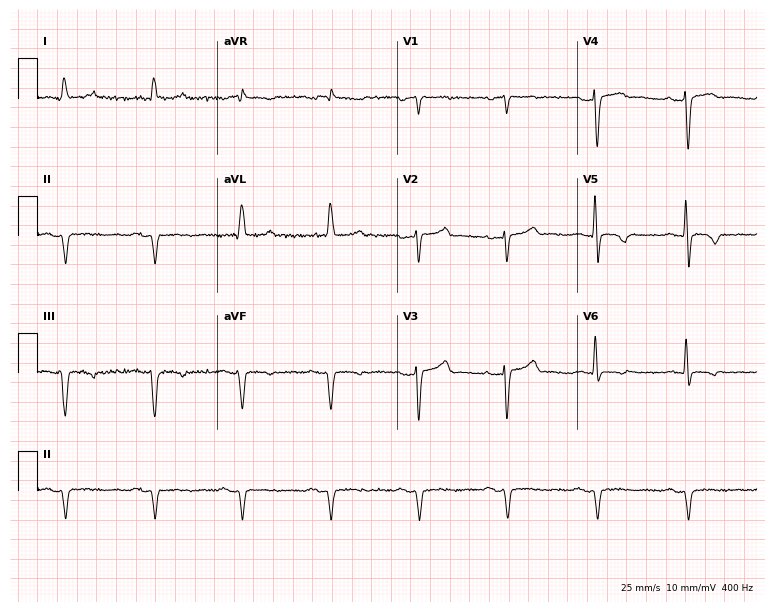
ECG (7.3-second recording at 400 Hz) — a 75-year-old male. Screened for six findings — first-degree AV block, right bundle branch block, left bundle branch block, sinus bradycardia, atrial fibrillation, sinus tachycardia — none is recorded. Findings outside these six are not listed.